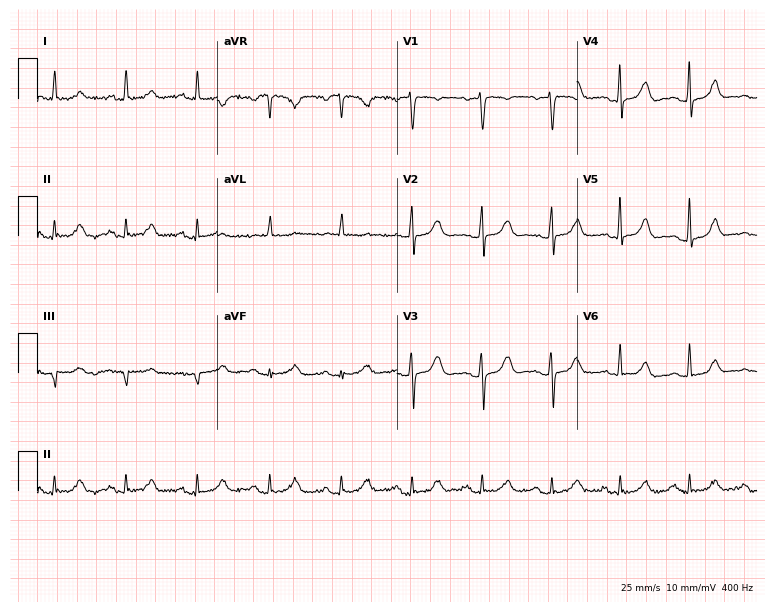
Resting 12-lead electrocardiogram. Patient: a 65-year-old female. Read as a normal ECG.